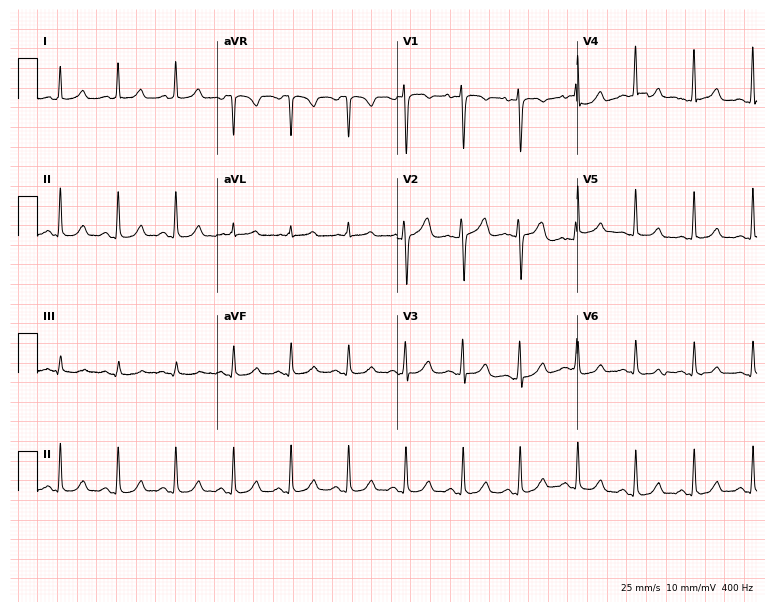
12-lead ECG (7.3-second recording at 400 Hz) from a 49-year-old female. Findings include sinus tachycardia (a sinus rate of 100 beats per minute or more).